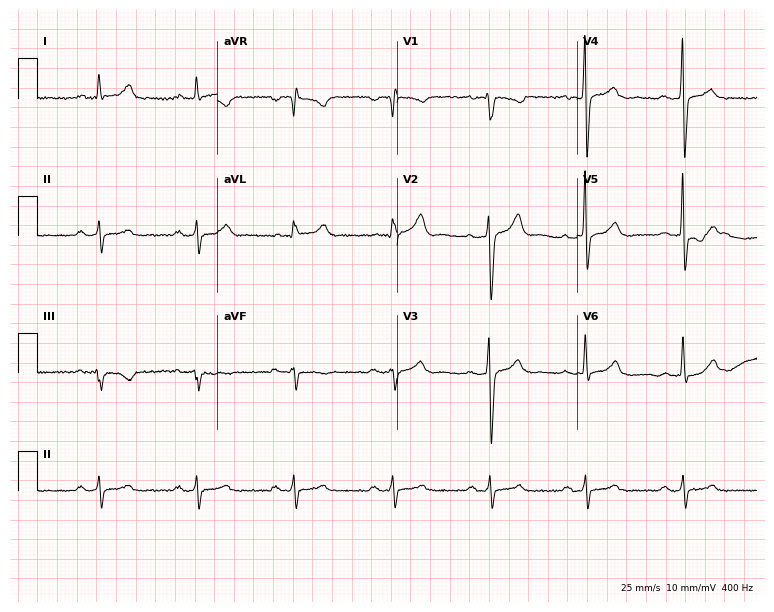
Standard 12-lead ECG recorded from a 44-year-old male (7.3-second recording at 400 Hz). Read as a normal ECG.